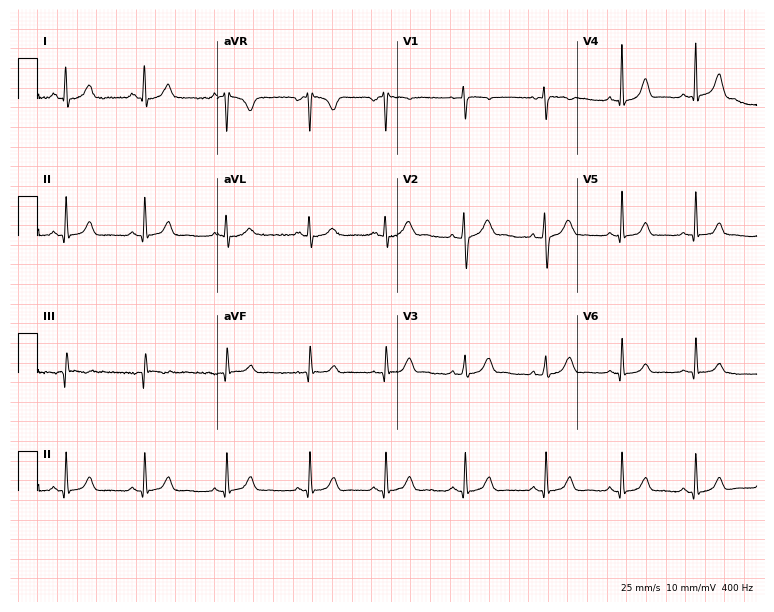
ECG — a 17-year-old female. Labelled as a normal ECG.